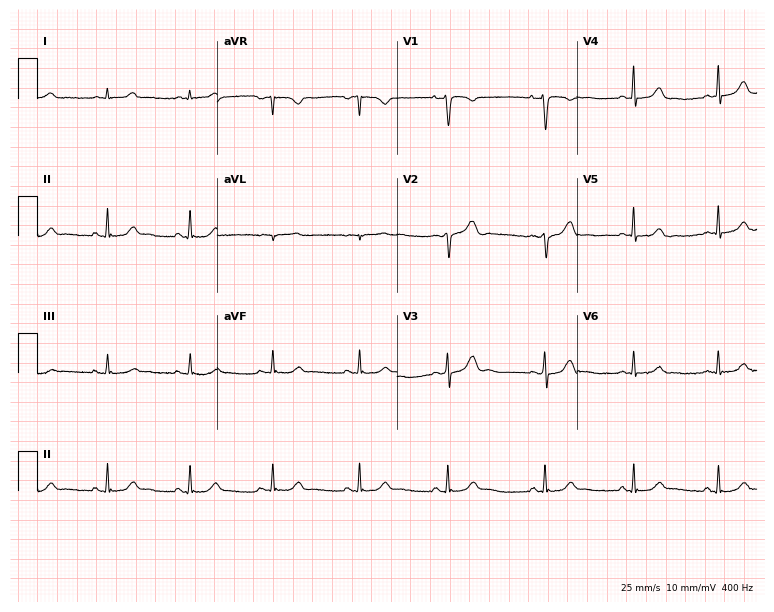
Electrocardiogram (7.3-second recording at 400 Hz), a woman, 46 years old. Of the six screened findings (first-degree AV block, right bundle branch block (RBBB), left bundle branch block (LBBB), sinus bradycardia, atrial fibrillation (AF), sinus tachycardia), none is recorded.